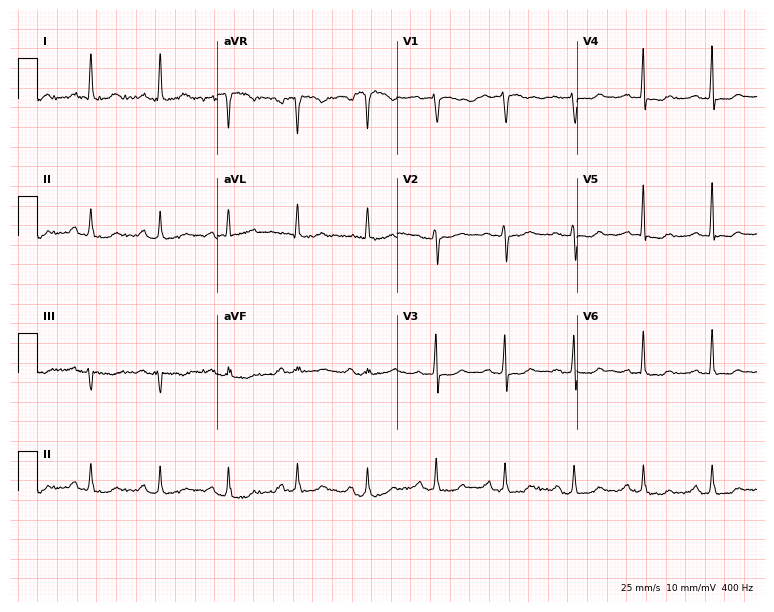
Resting 12-lead electrocardiogram. Patient: a woman, 71 years old. None of these six findings is recorded: first-degree AV block, right bundle branch block, left bundle branch block, sinus bradycardia, atrial fibrillation, sinus tachycardia.